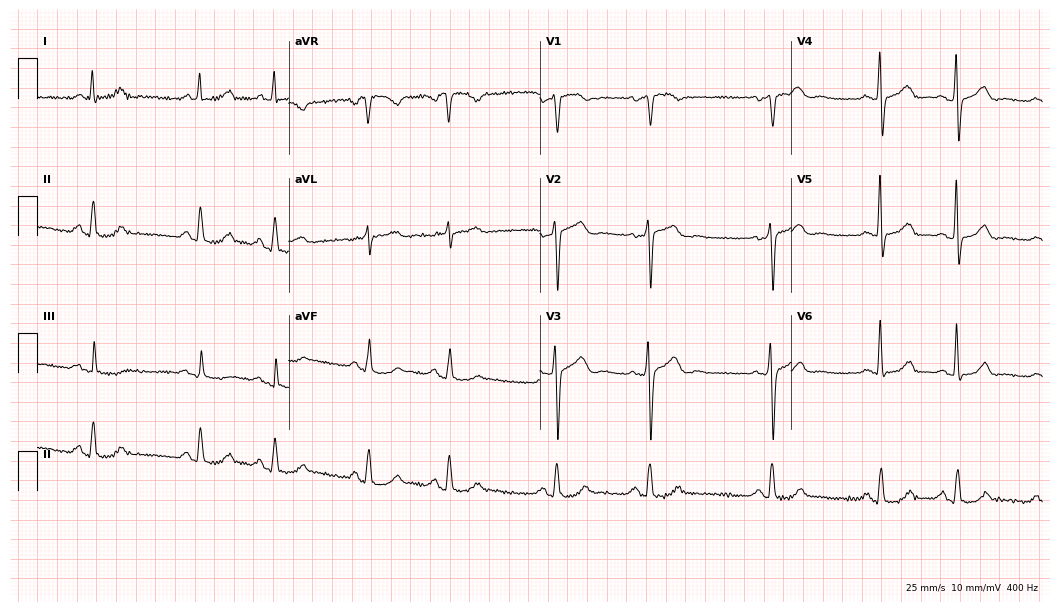
12-lead ECG from a female, 66 years old. Screened for six findings — first-degree AV block, right bundle branch block, left bundle branch block, sinus bradycardia, atrial fibrillation, sinus tachycardia — none is recorded.